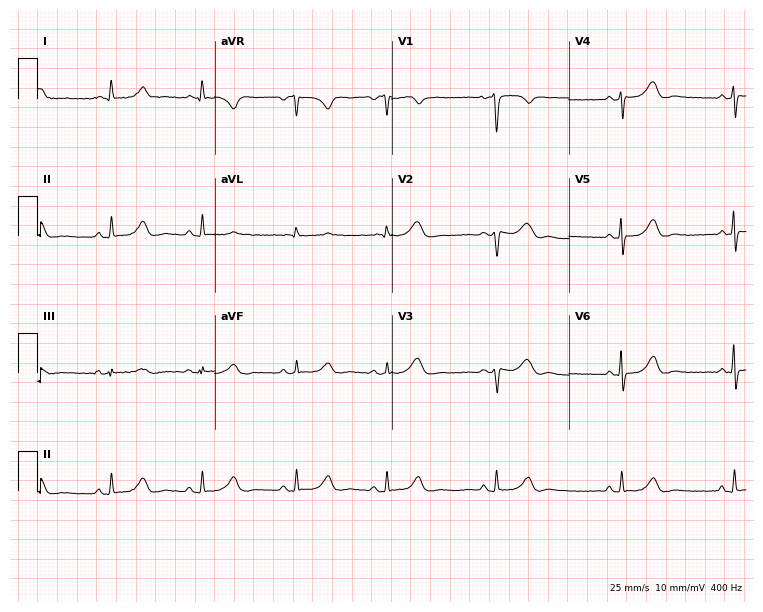
ECG (7.2-second recording at 400 Hz) — a female patient, 48 years old. Labelled as a normal ECG.